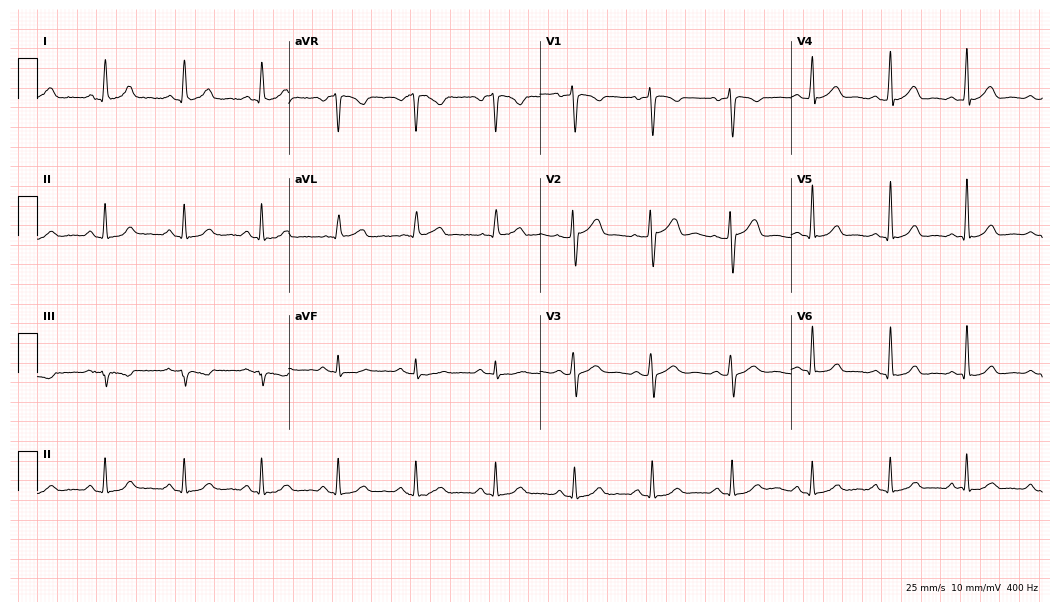
Resting 12-lead electrocardiogram. Patient: a woman, 48 years old. Read as a normal ECG.